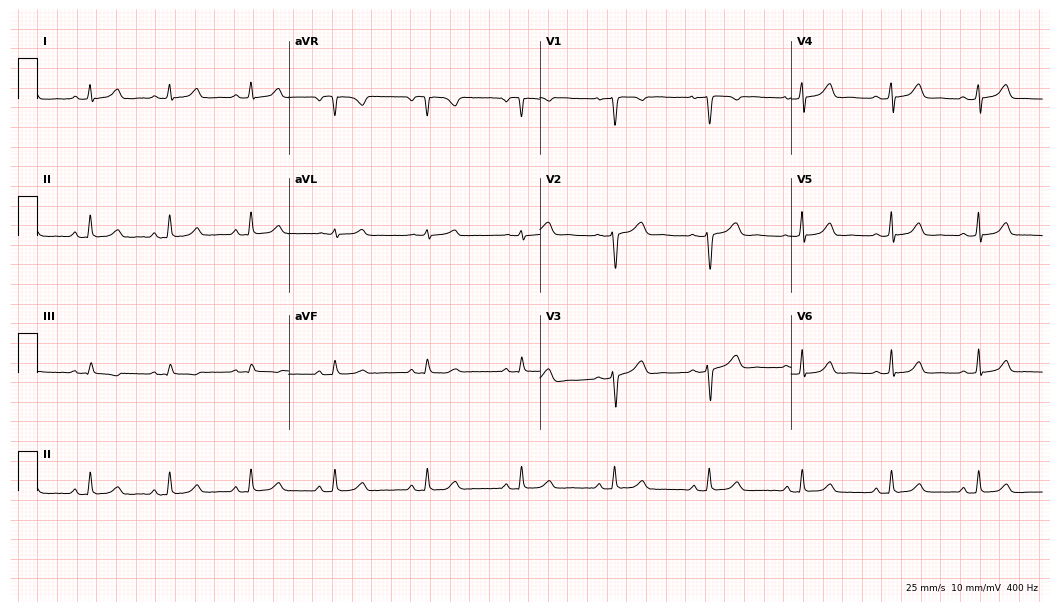
Resting 12-lead electrocardiogram (10.2-second recording at 400 Hz). Patient: a 34-year-old female. Read as a normal ECG.